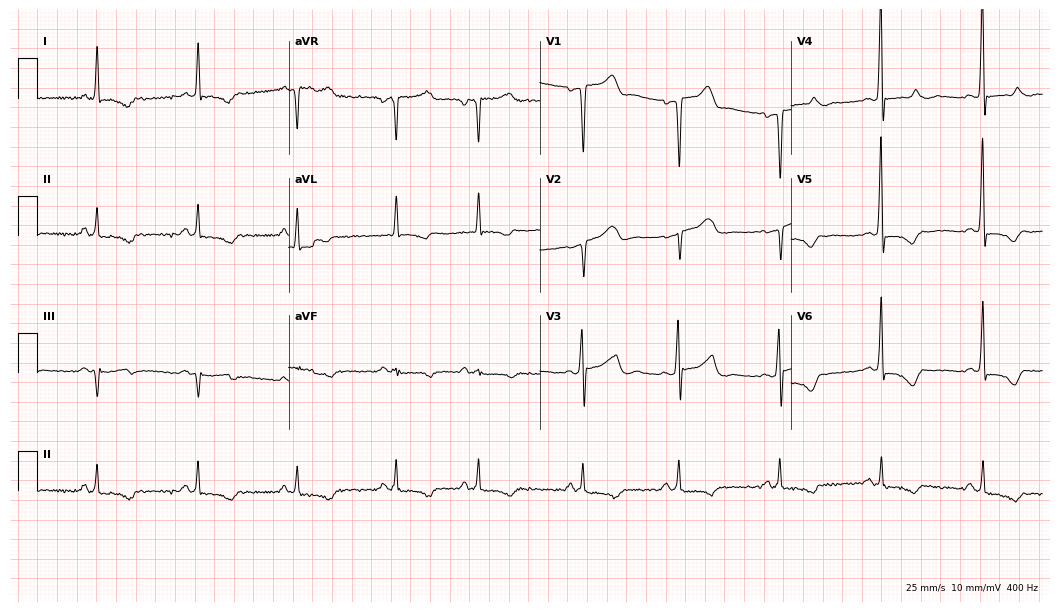
12-lead ECG from a 67-year-old male patient (10.2-second recording at 400 Hz). No first-degree AV block, right bundle branch block (RBBB), left bundle branch block (LBBB), sinus bradycardia, atrial fibrillation (AF) or sinus tachycardia recorded for this tracing. Findings outside these six are not listed.